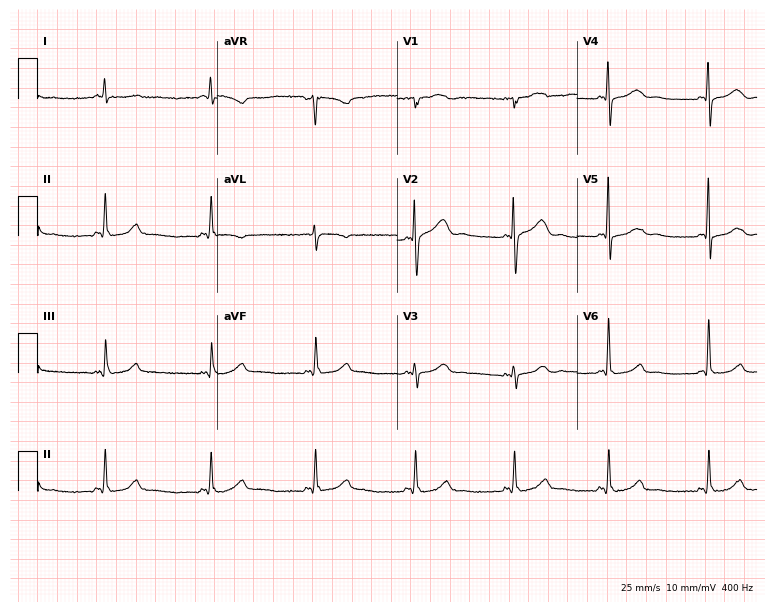
Standard 12-lead ECG recorded from a 74-year-old female patient. Read as a normal ECG.